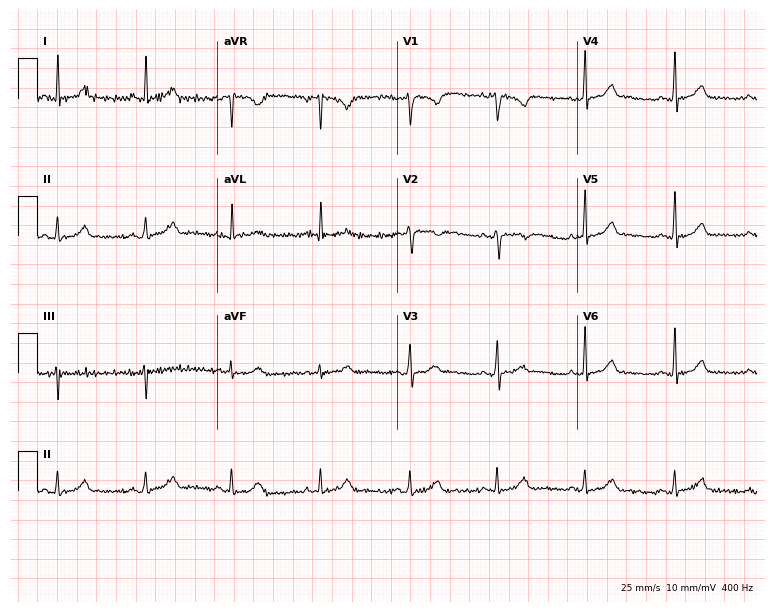
Resting 12-lead electrocardiogram (7.3-second recording at 400 Hz). Patient: a woman, 31 years old. Read as a normal ECG.